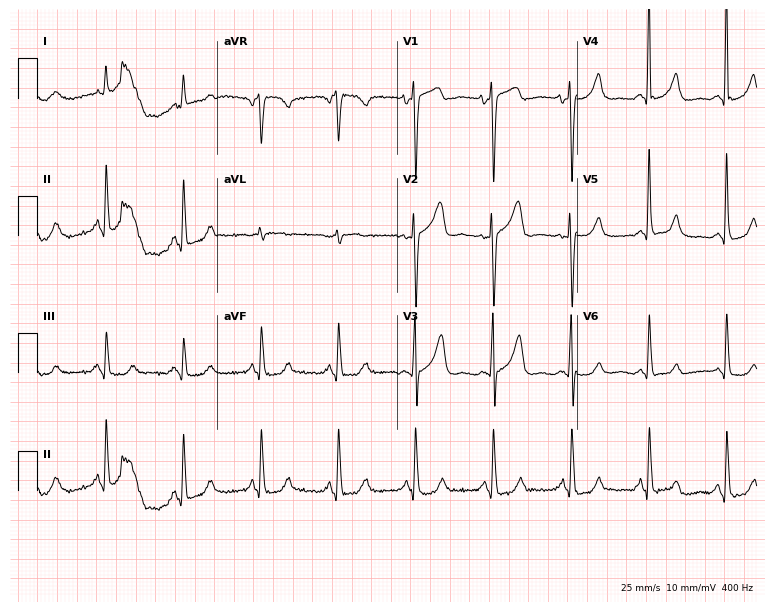
12-lead ECG from a 68-year-old female patient. No first-degree AV block, right bundle branch block, left bundle branch block, sinus bradycardia, atrial fibrillation or sinus tachycardia recorded for this tracing. Other findings, if any, are not listed.